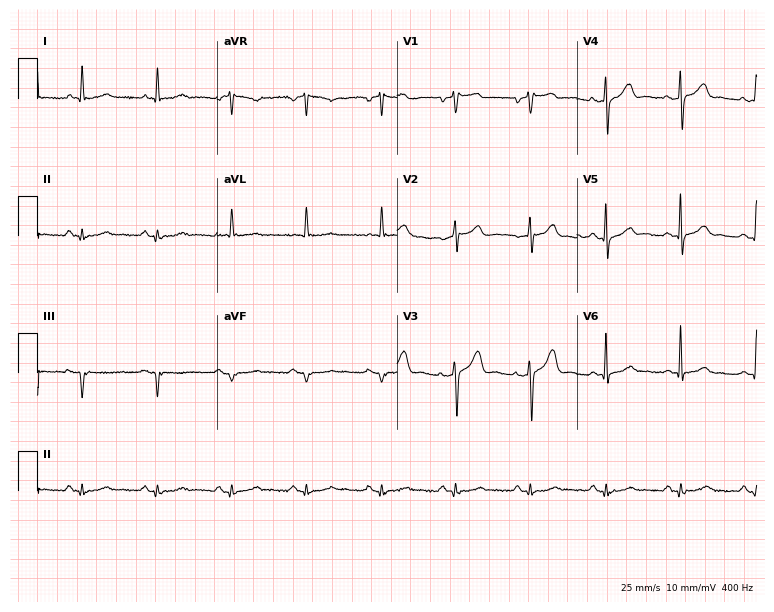
Electrocardiogram (7.3-second recording at 400 Hz), a 74-year-old man. Of the six screened findings (first-degree AV block, right bundle branch block, left bundle branch block, sinus bradycardia, atrial fibrillation, sinus tachycardia), none is recorded. Only these six findings were labelled.